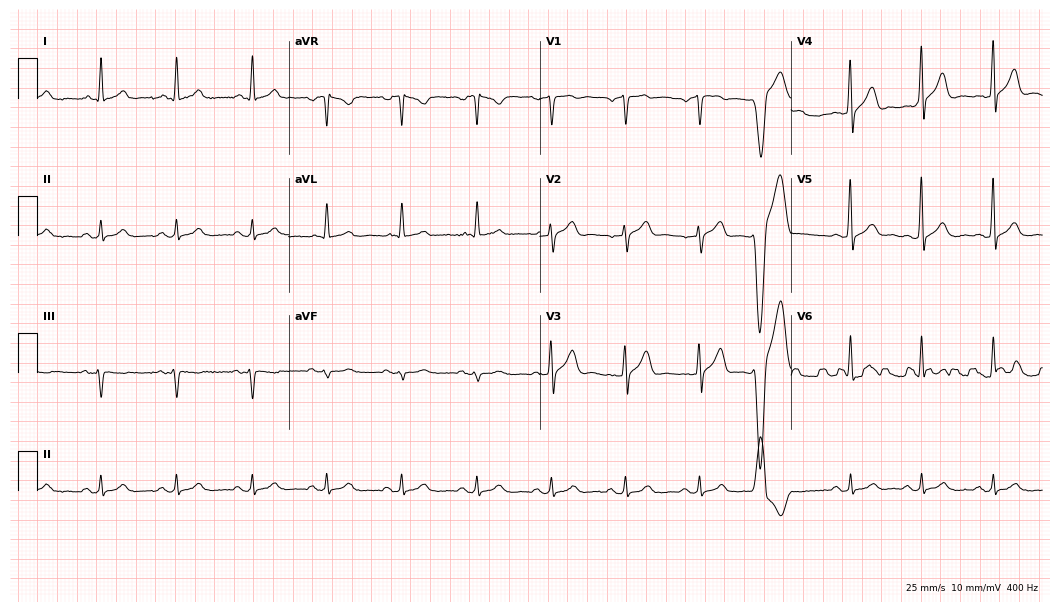
12-lead ECG from a male patient, 55 years old (10.2-second recording at 400 Hz). No first-degree AV block, right bundle branch block, left bundle branch block, sinus bradycardia, atrial fibrillation or sinus tachycardia recorded for this tracing. Other findings, if any, are not listed.